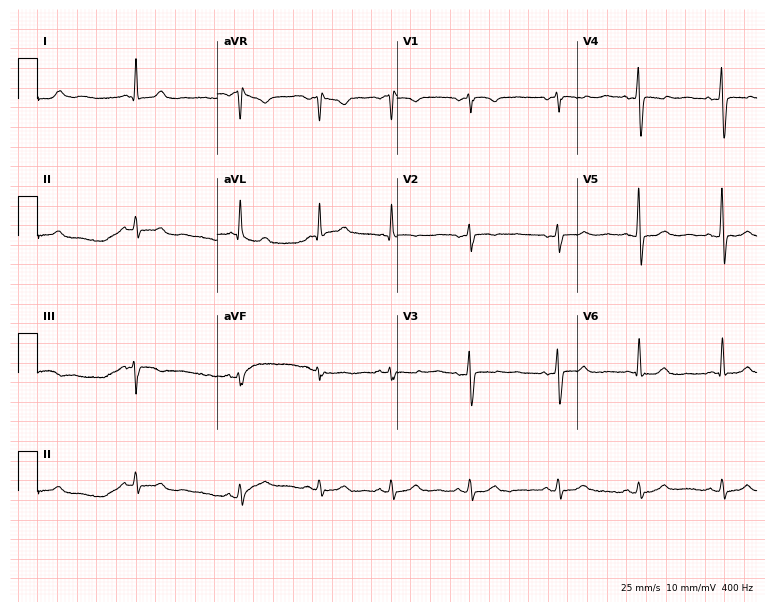
ECG (7.3-second recording at 400 Hz) — a 40-year-old woman. Screened for six findings — first-degree AV block, right bundle branch block (RBBB), left bundle branch block (LBBB), sinus bradycardia, atrial fibrillation (AF), sinus tachycardia — none is recorded. Findings outside these six are not listed.